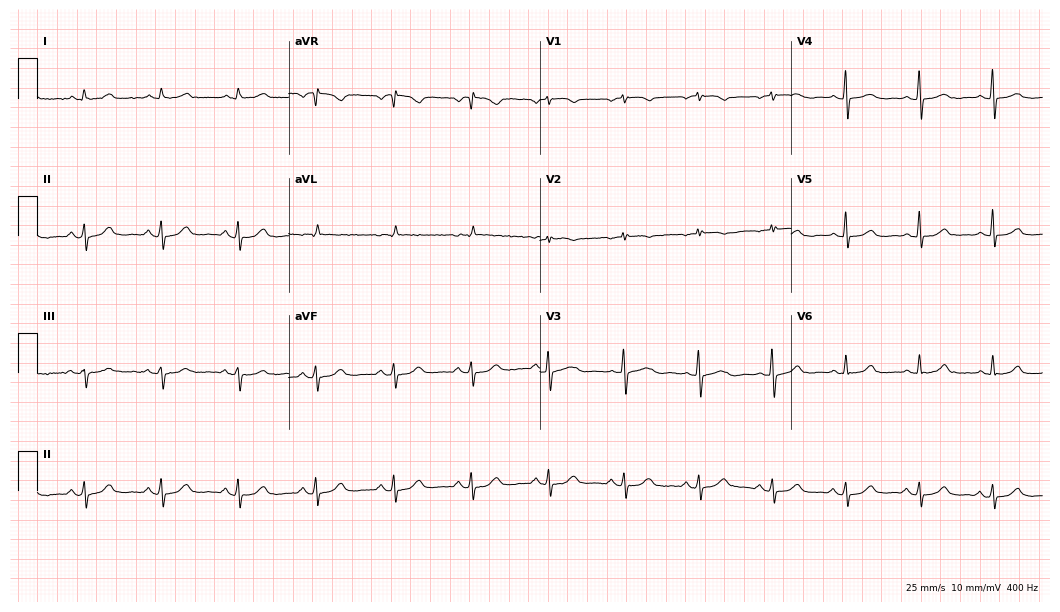
12-lead ECG (10.2-second recording at 400 Hz) from a 56-year-old female patient. Screened for six findings — first-degree AV block, right bundle branch block (RBBB), left bundle branch block (LBBB), sinus bradycardia, atrial fibrillation (AF), sinus tachycardia — none is recorded. Findings outside these six are not listed.